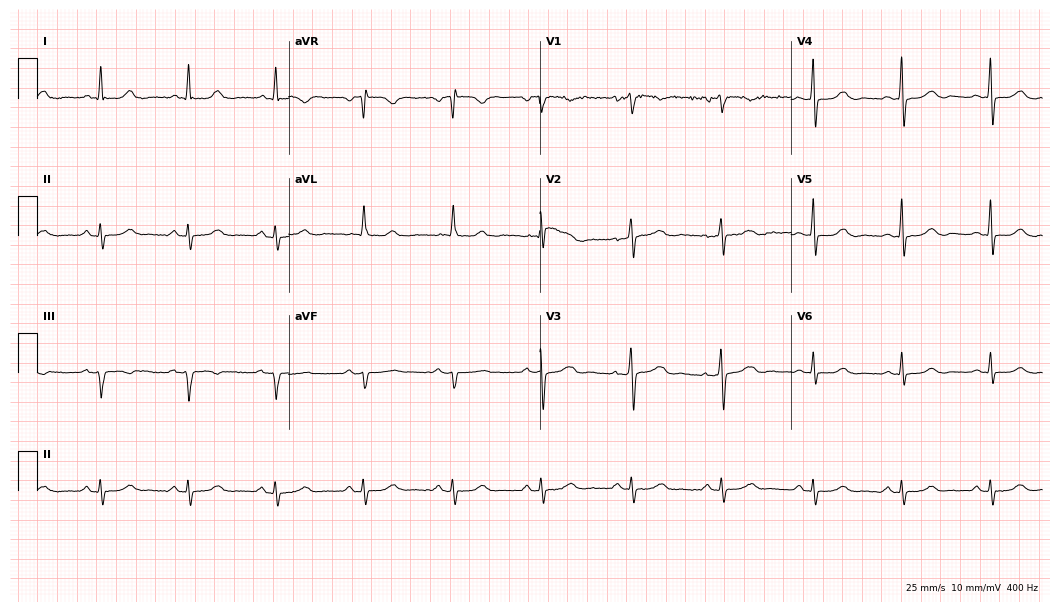
ECG — a woman, 59 years old. Labelled as a normal ECG.